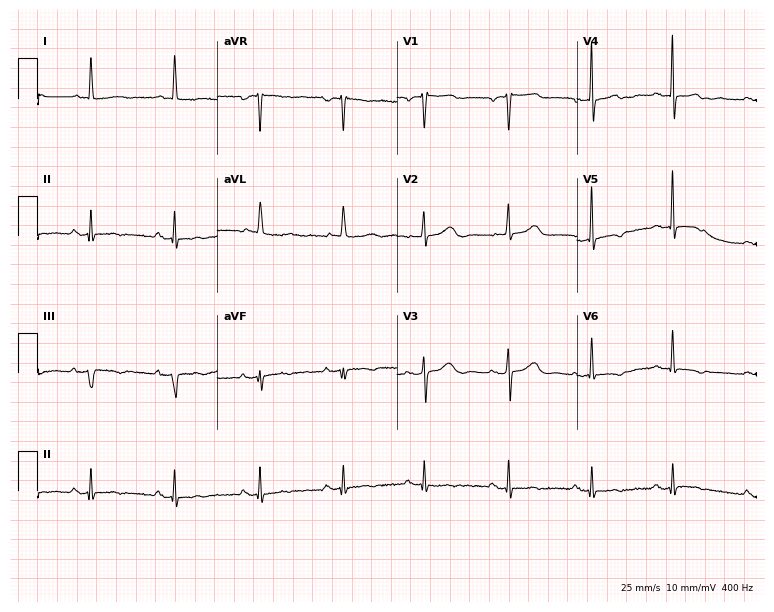
Standard 12-lead ECG recorded from a woman, 79 years old (7.3-second recording at 400 Hz). None of these six findings is recorded: first-degree AV block, right bundle branch block, left bundle branch block, sinus bradycardia, atrial fibrillation, sinus tachycardia.